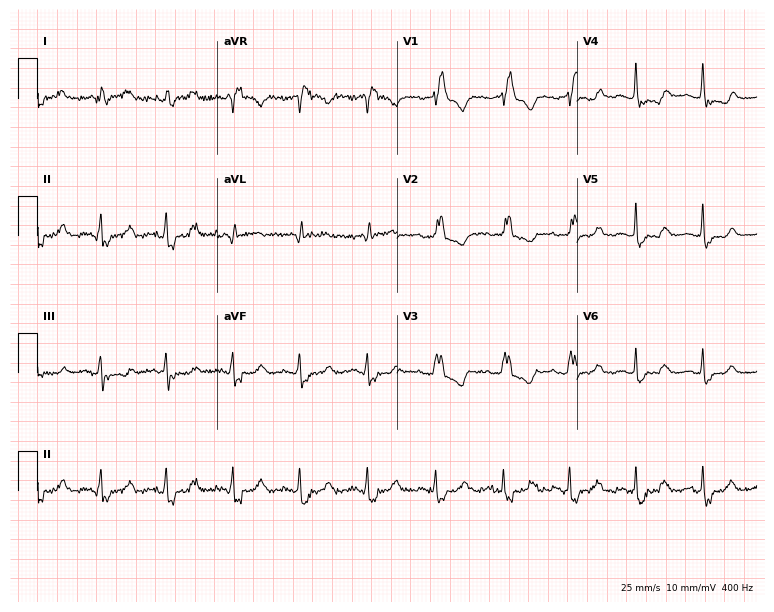
ECG — a 78-year-old woman. Findings include right bundle branch block (RBBB).